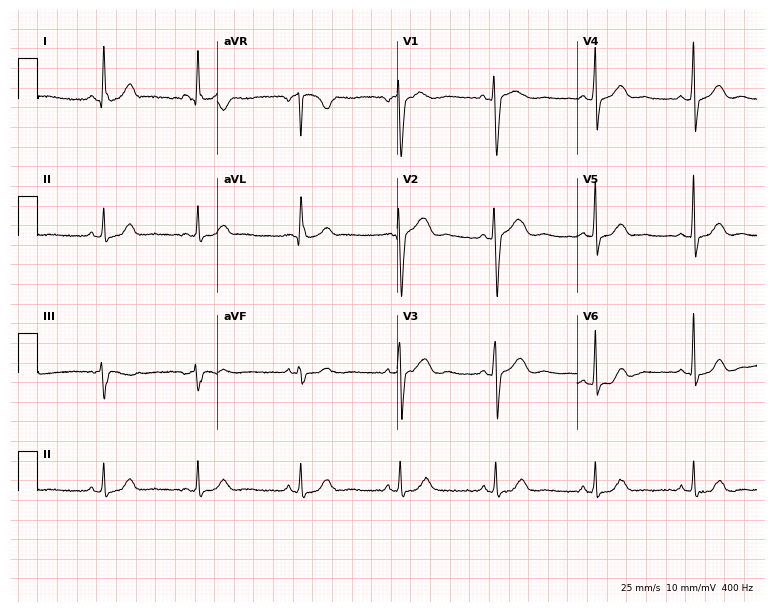
ECG (7.3-second recording at 400 Hz) — a woman, 44 years old. Labelled as a normal ECG.